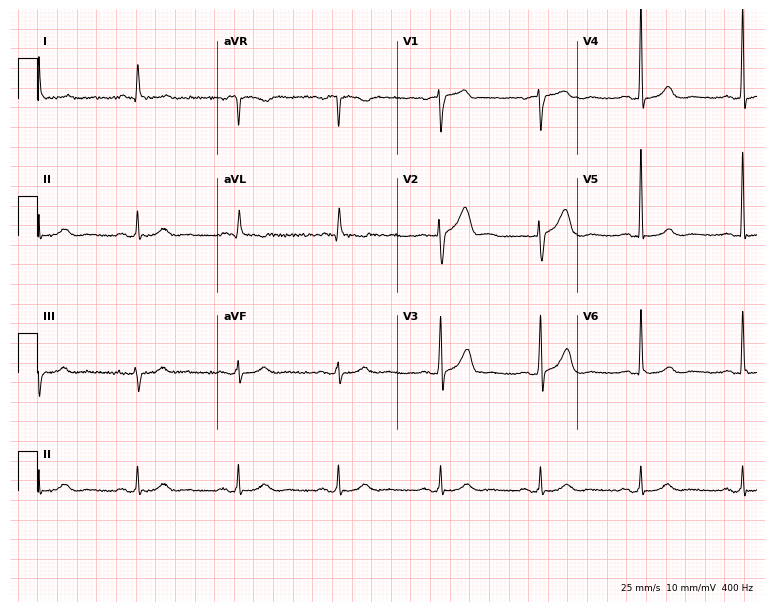
Resting 12-lead electrocardiogram. Patient: a woman, 76 years old. Read as a normal ECG.